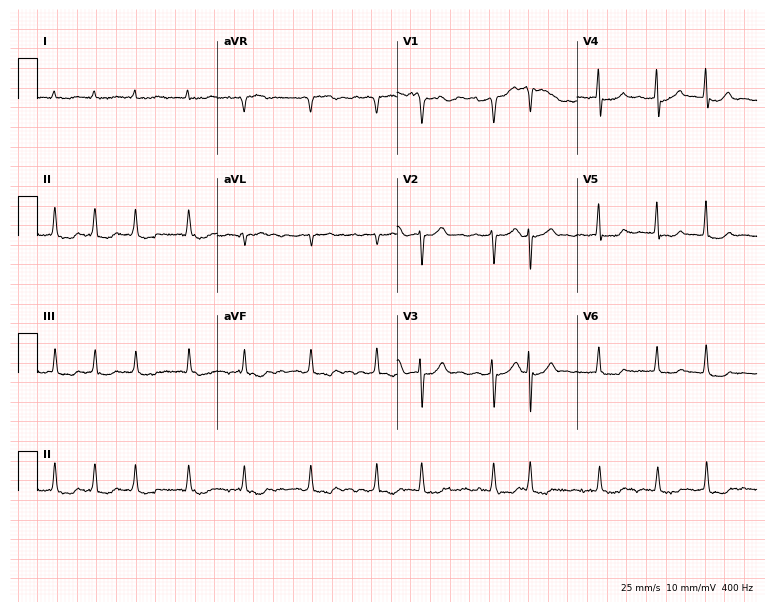
Electrocardiogram (7.3-second recording at 400 Hz), a male patient, 78 years old. Interpretation includes atrial fibrillation (AF).